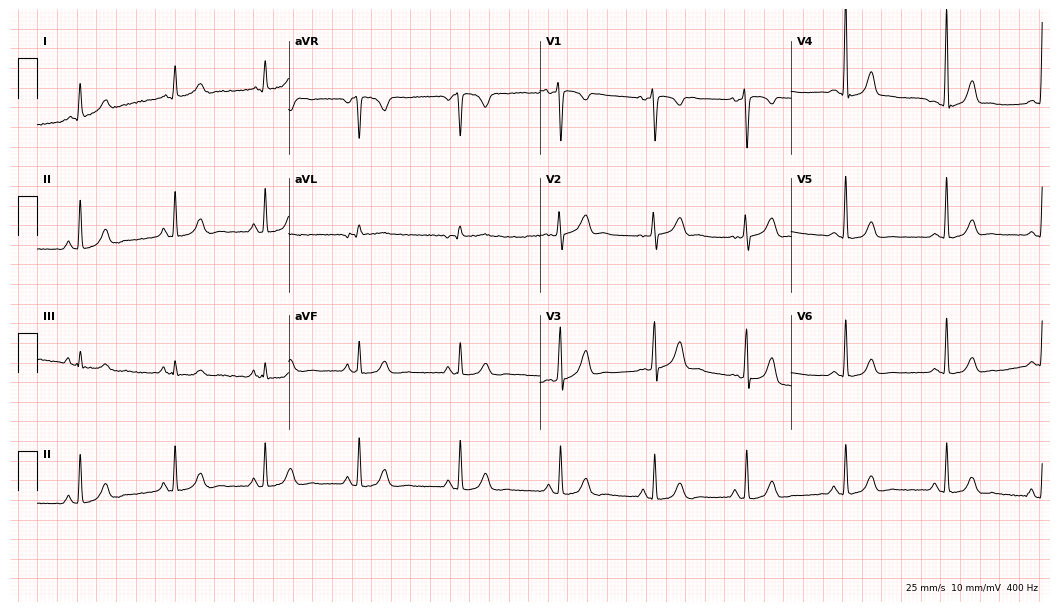
Electrocardiogram, a 36-year-old woman. Overall reading on record: normal ECG.